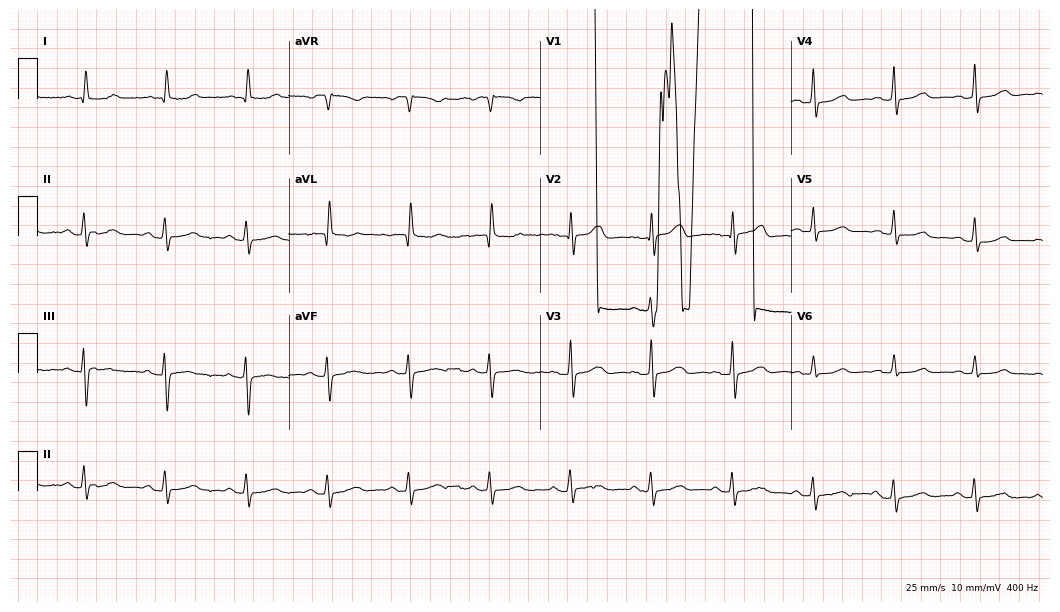
ECG — an 80-year-old female patient. Screened for six findings — first-degree AV block, right bundle branch block (RBBB), left bundle branch block (LBBB), sinus bradycardia, atrial fibrillation (AF), sinus tachycardia — none is recorded.